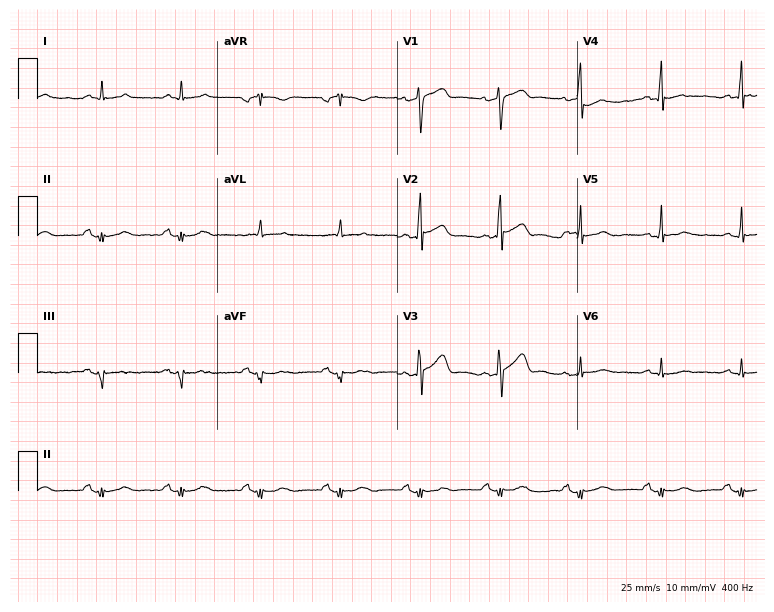
12-lead ECG from a 62-year-old man. Screened for six findings — first-degree AV block, right bundle branch block, left bundle branch block, sinus bradycardia, atrial fibrillation, sinus tachycardia — none is recorded. Only these six findings were labelled.